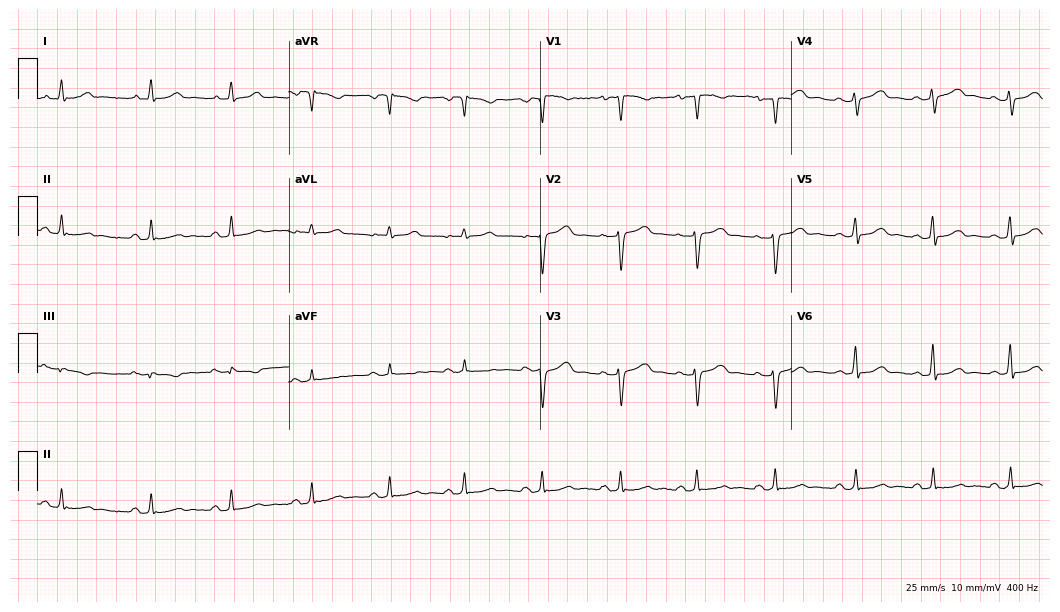
Resting 12-lead electrocardiogram (10.2-second recording at 400 Hz). Patient: a woman, 32 years old. None of these six findings is recorded: first-degree AV block, right bundle branch block (RBBB), left bundle branch block (LBBB), sinus bradycardia, atrial fibrillation (AF), sinus tachycardia. Other findings, if any, are not listed.